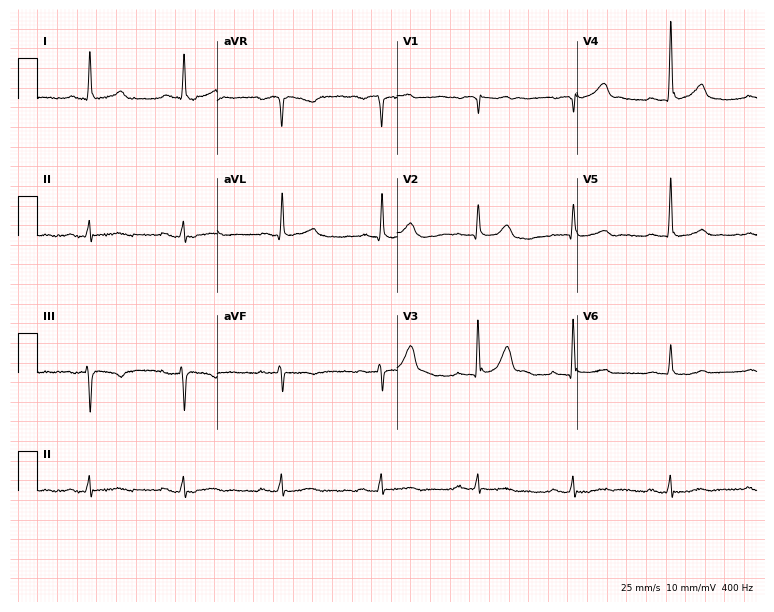
Standard 12-lead ECG recorded from a man, 70 years old. None of these six findings is recorded: first-degree AV block, right bundle branch block (RBBB), left bundle branch block (LBBB), sinus bradycardia, atrial fibrillation (AF), sinus tachycardia. Only these six findings were labelled.